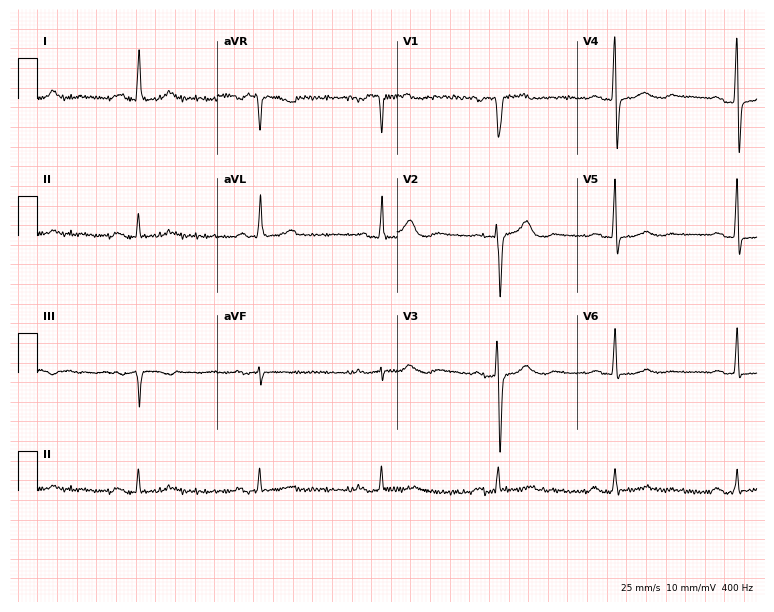
Resting 12-lead electrocardiogram (7.3-second recording at 400 Hz). Patient: a 61-year-old man. The tracing shows first-degree AV block, sinus bradycardia (a sinus rate of 50 beats per minute or less).